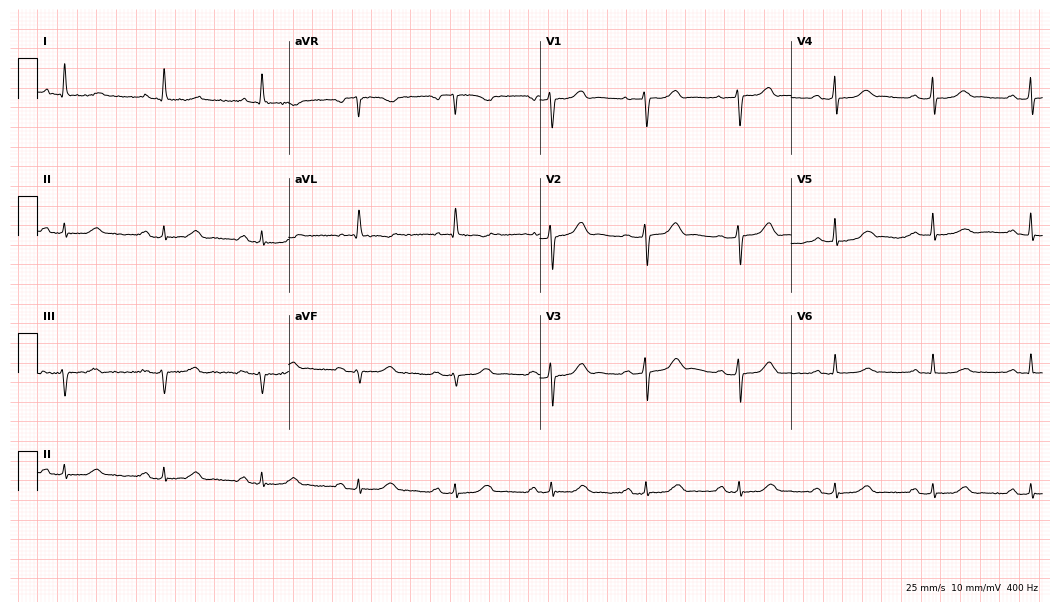
Electrocardiogram (10.2-second recording at 400 Hz), a female, 54 years old. Overall reading on record: normal ECG.